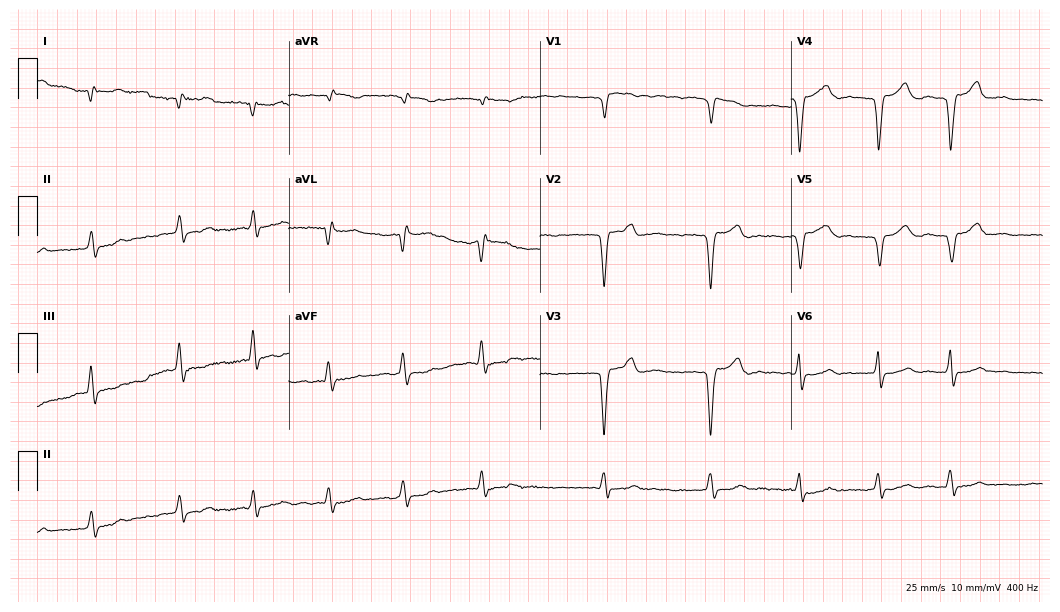
Electrocardiogram, a 78-year-old female. Of the six screened findings (first-degree AV block, right bundle branch block (RBBB), left bundle branch block (LBBB), sinus bradycardia, atrial fibrillation (AF), sinus tachycardia), none is recorded. Findings outside these six are not listed.